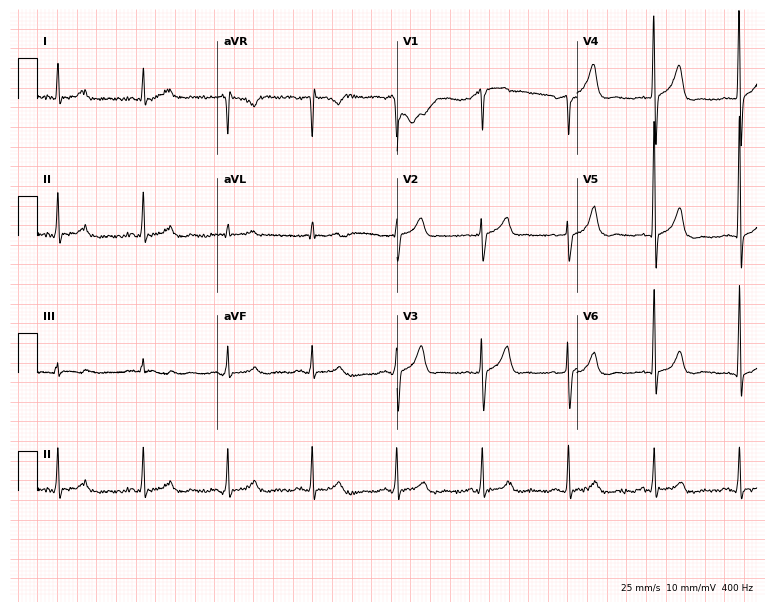
12-lead ECG from a man, 52 years old (7.3-second recording at 400 Hz). No first-degree AV block, right bundle branch block (RBBB), left bundle branch block (LBBB), sinus bradycardia, atrial fibrillation (AF) or sinus tachycardia recorded for this tracing.